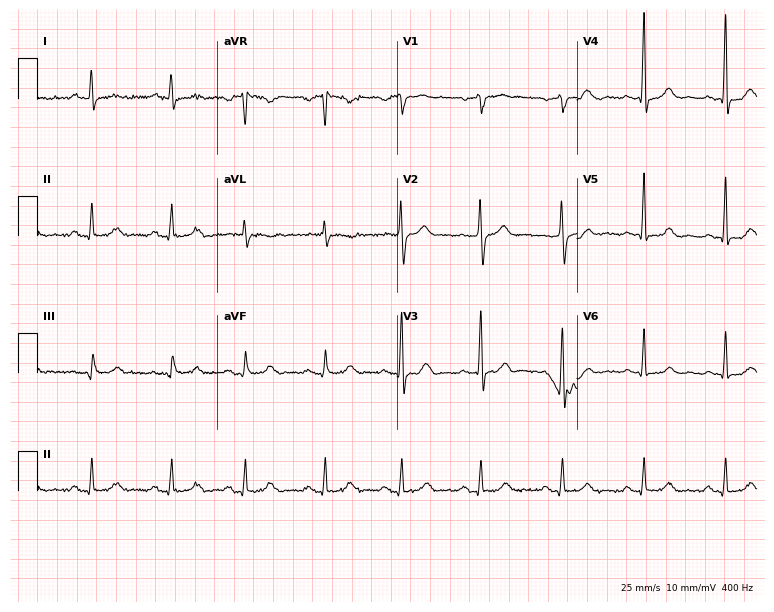
Electrocardiogram, a male patient, 64 years old. Overall reading on record: normal ECG.